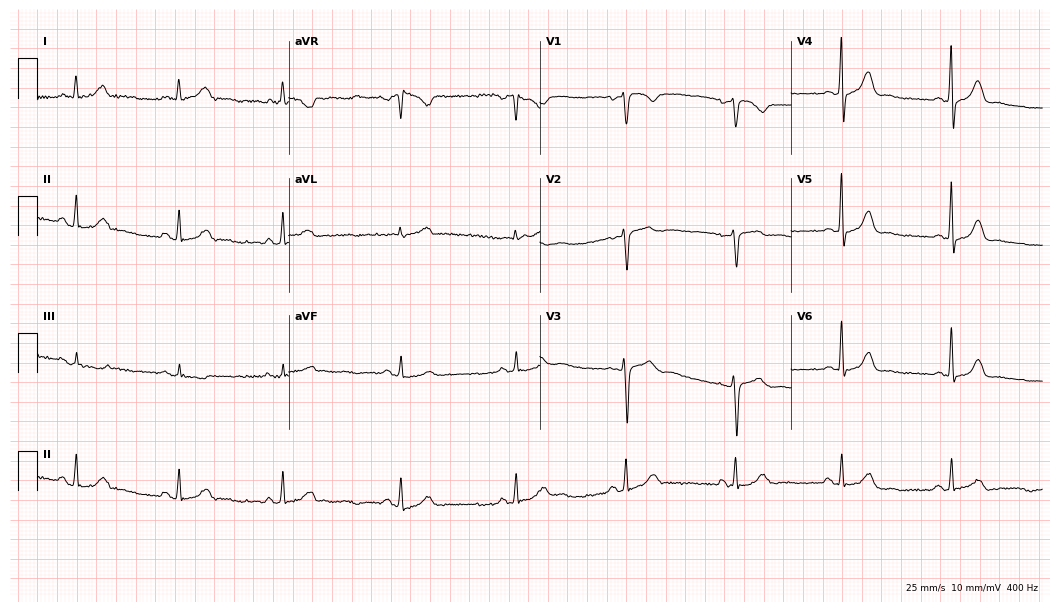
Resting 12-lead electrocardiogram. Patient: a woman, 45 years old. Read as a normal ECG.